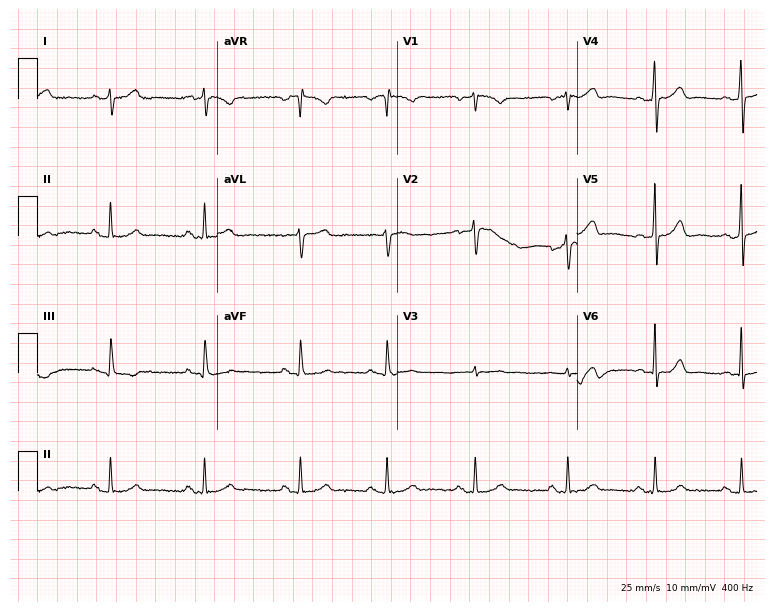
Resting 12-lead electrocardiogram. Patient: a woman, 38 years old. None of these six findings is recorded: first-degree AV block, right bundle branch block (RBBB), left bundle branch block (LBBB), sinus bradycardia, atrial fibrillation (AF), sinus tachycardia.